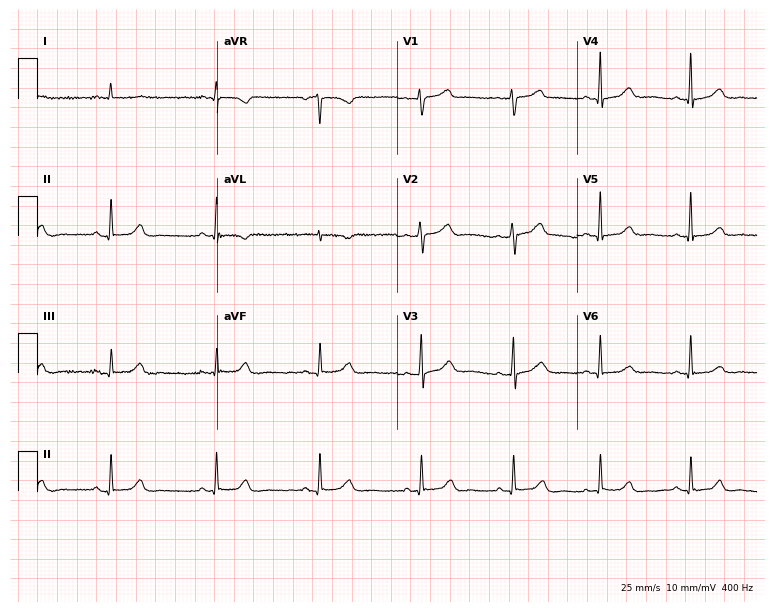
12-lead ECG from a female patient, 49 years old. Recorded interpretation: within normal limits.